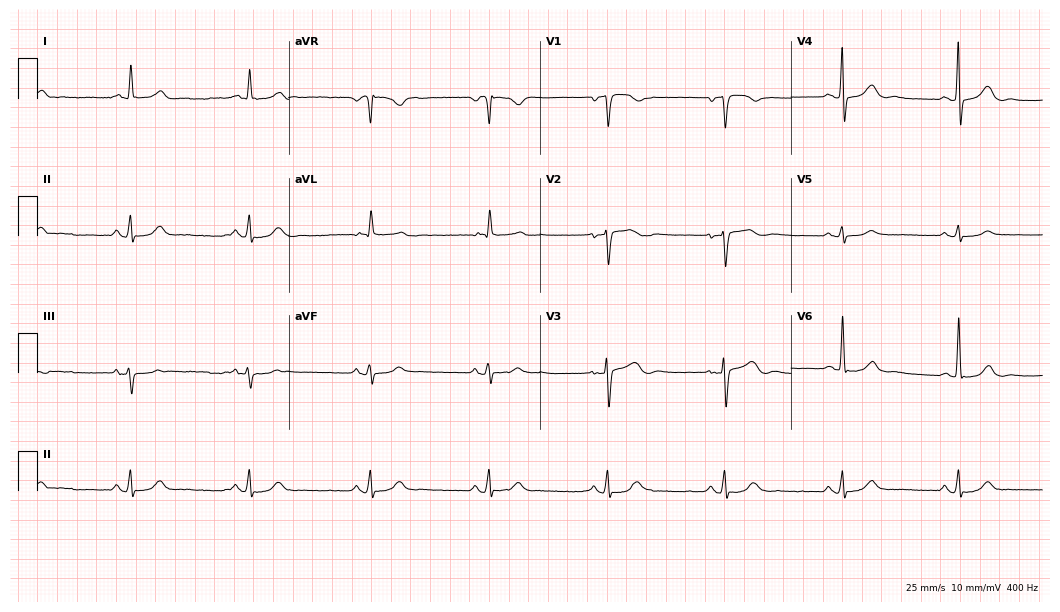
Electrocardiogram (10.2-second recording at 400 Hz), a female, 81 years old. Of the six screened findings (first-degree AV block, right bundle branch block, left bundle branch block, sinus bradycardia, atrial fibrillation, sinus tachycardia), none is recorded.